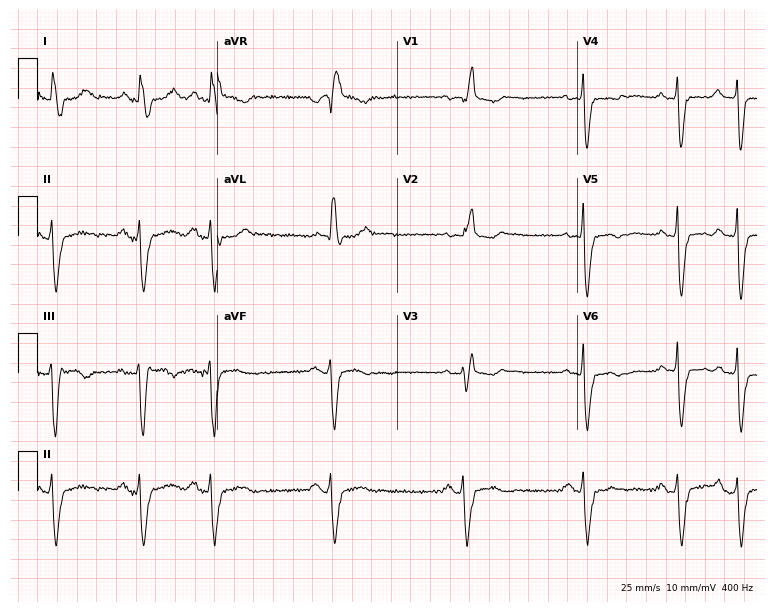
12-lead ECG from a female, 77 years old. No first-degree AV block, right bundle branch block (RBBB), left bundle branch block (LBBB), sinus bradycardia, atrial fibrillation (AF) or sinus tachycardia recorded for this tracing.